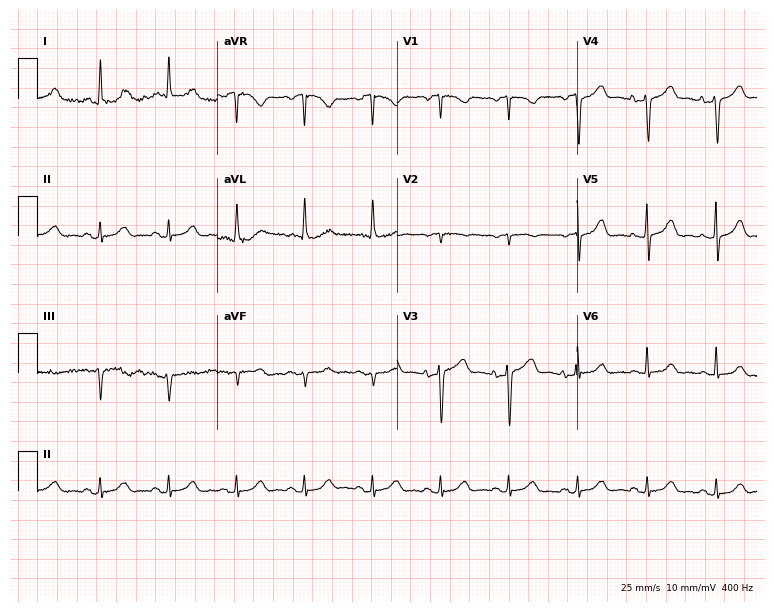
12-lead ECG from a 77-year-old woman. Labelled as a normal ECG.